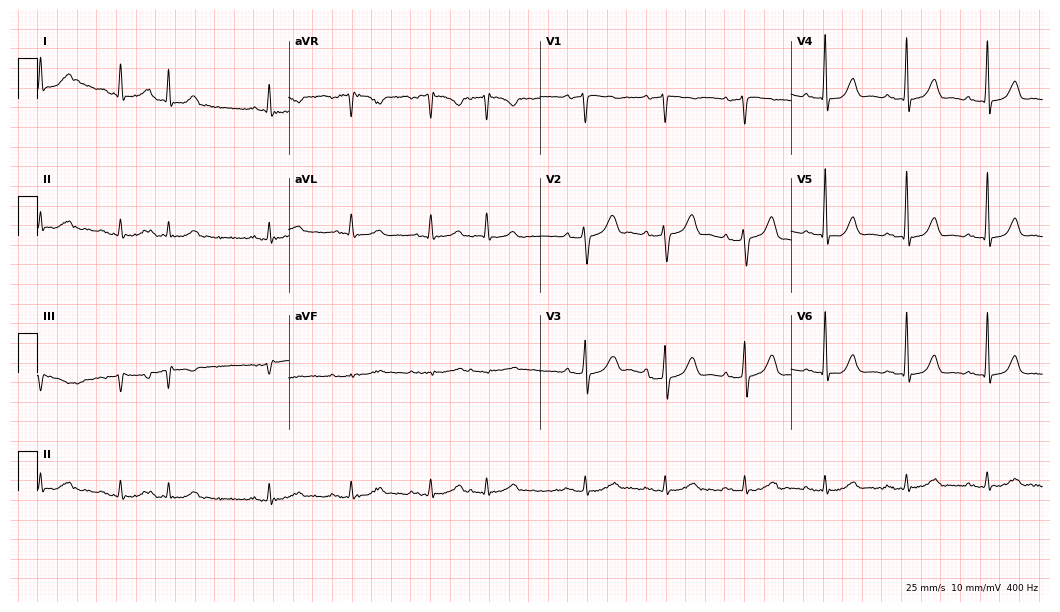
Resting 12-lead electrocardiogram. Patient: a man, 85 years old. None of these six findings is recorded: first-degree AV block, right bundle branch block (RBBB), left bundle branch block (LBBB), sinus bradycardia, atrial fibrillation (AF), sinus tachycardia. Only these six findings were labelled.